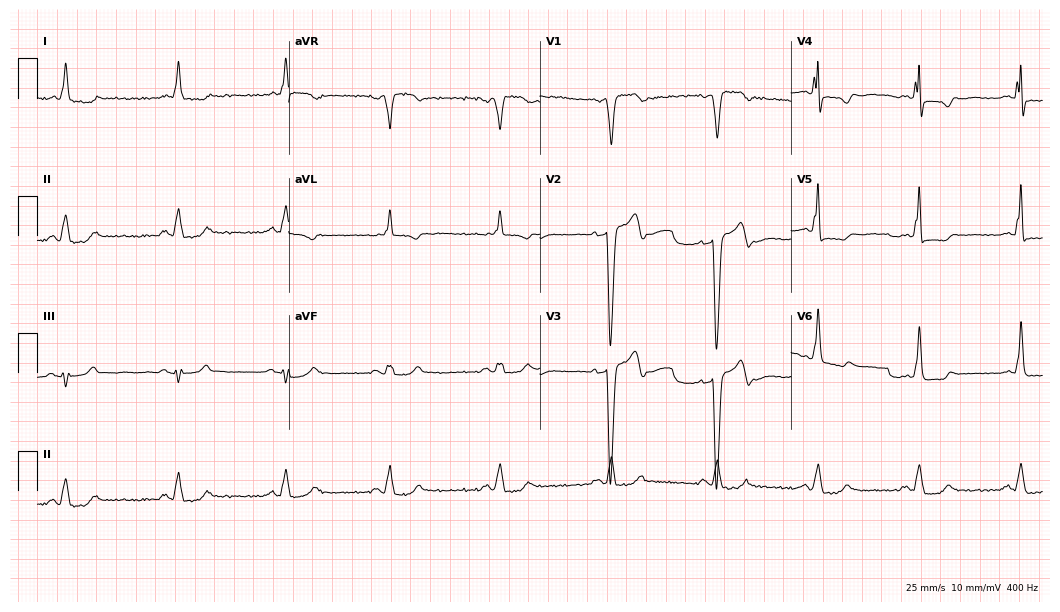
Electrocardiogram (10.2-second recording at 400 Hz), a male patient, 69 years old. Of the six screened findings (first-degree AV block, right bundle branch block (RBBB), left bundle branch block (LBBB), sinus bradycardia, atrial fibrillation (AF), sinus tachycardia), none is recorded.